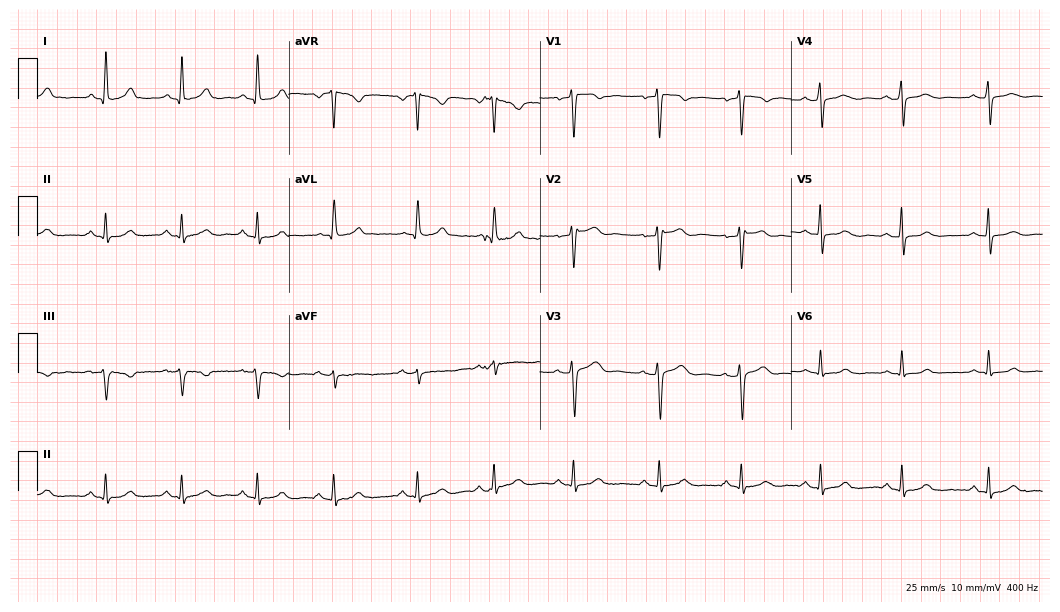
12-lead ECG from a woman, 36 years old. No first-degree AV block, right bundle branch block, left bundle branch block, sinus bradycardia, atrial fibrillation or sinus tachycardia recorded for this tracing. Only these six findings were labelled.